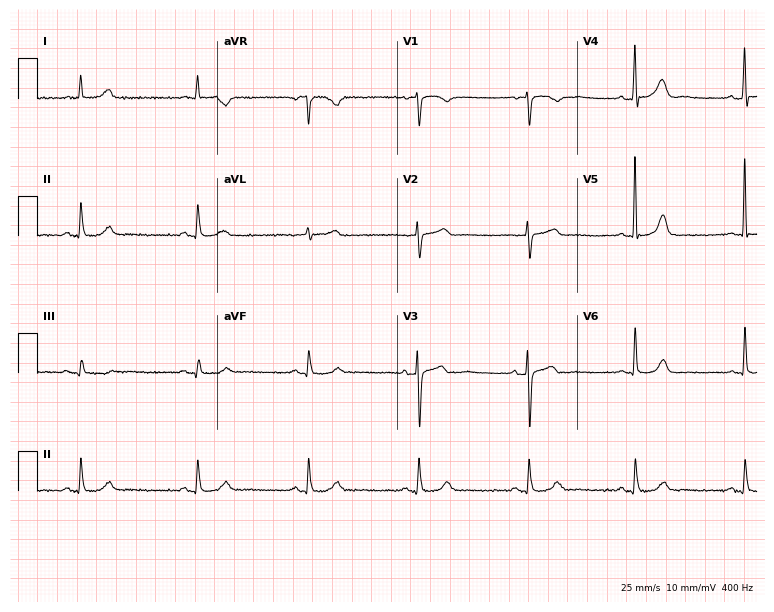
Resting 12-lead electrocardiogram (7.3-second recording at 400 Hz). Patient: a woman, 56 years old. Read as a normal ECG.